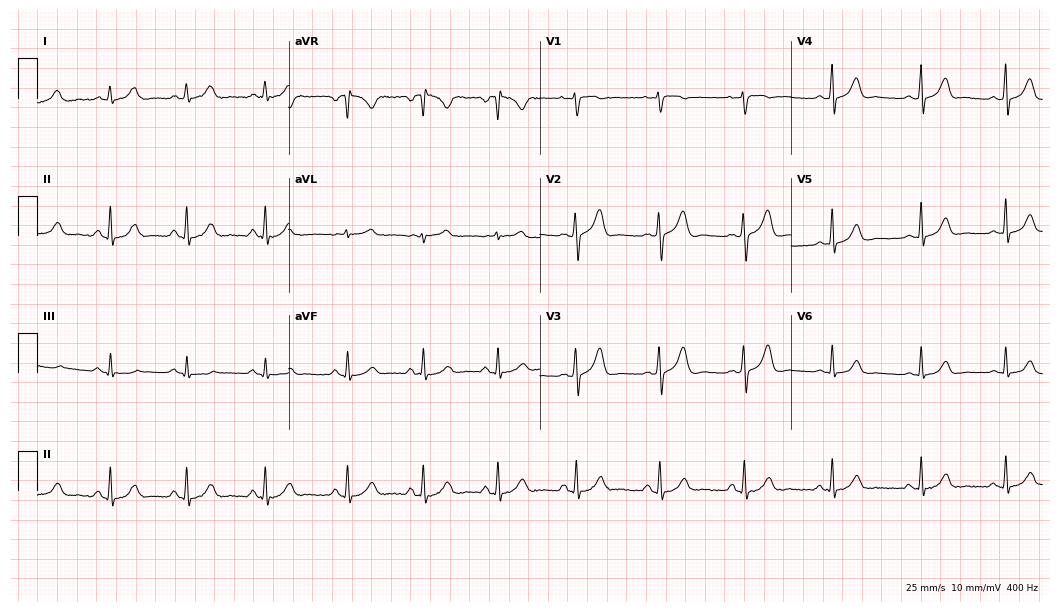
12-lead ECG from a female patient, 34 years old. Recorded interpretation: within normal limits.